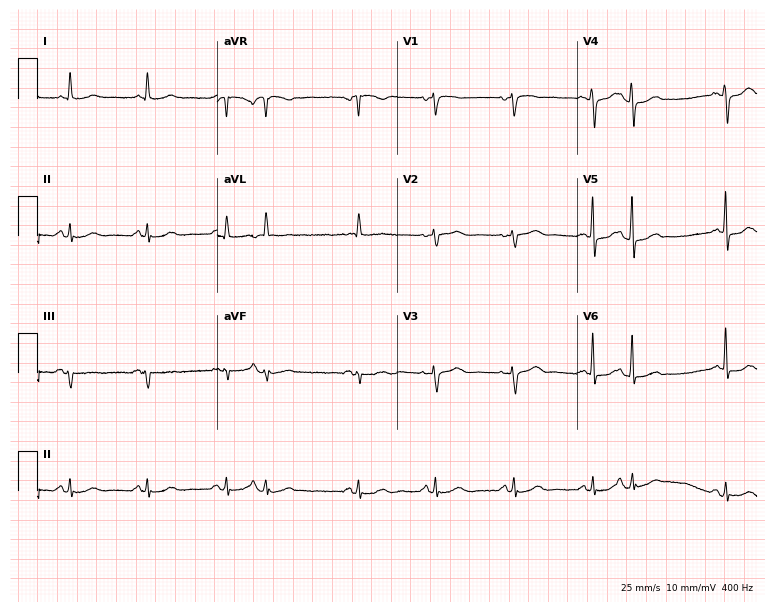
Standard 12-lead ECG recorded from a 77-year-old female patient. None of these six findings is recorded: first-degree AV block, right bundle branch block (RBBB), left bundle branch block (LBBB), sinus bradycardia, atrial fibrillation (AF), sinus tachycardia. Other findings, if any, are not listed.